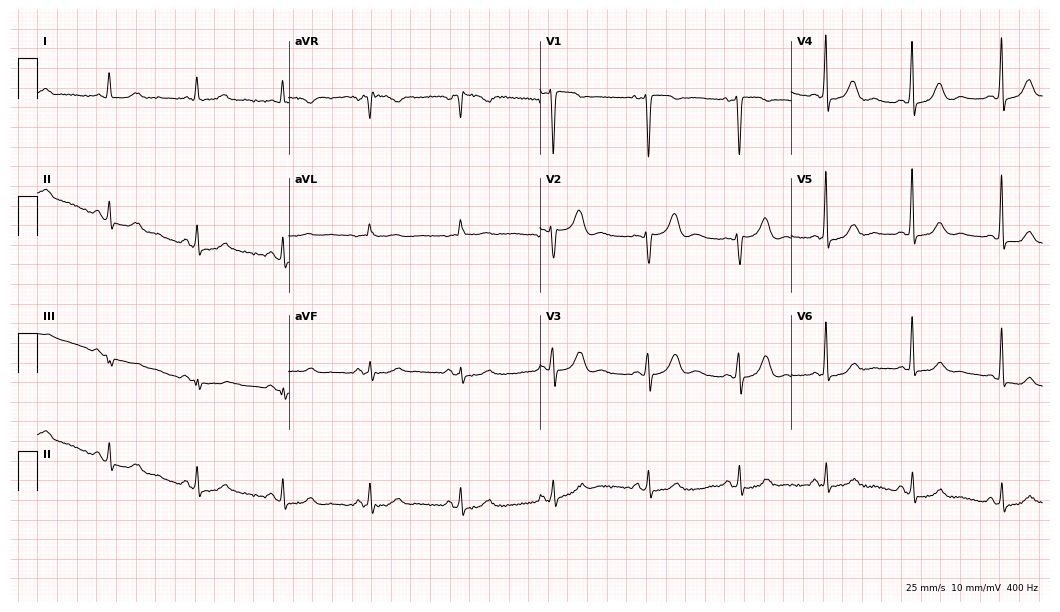
Electrocardiogram (10.2-second recording at 400 Hz), a woman, 47 years old. Overall reading on record: normal ECG.